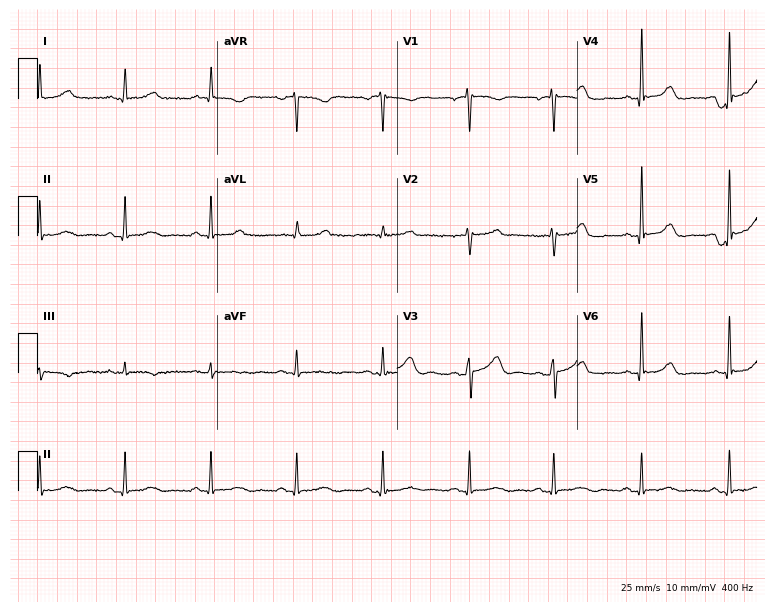
ECG (7.3-second recording at 400 Hz) — a 68-year-old woman. Labelled as a normal ECG.